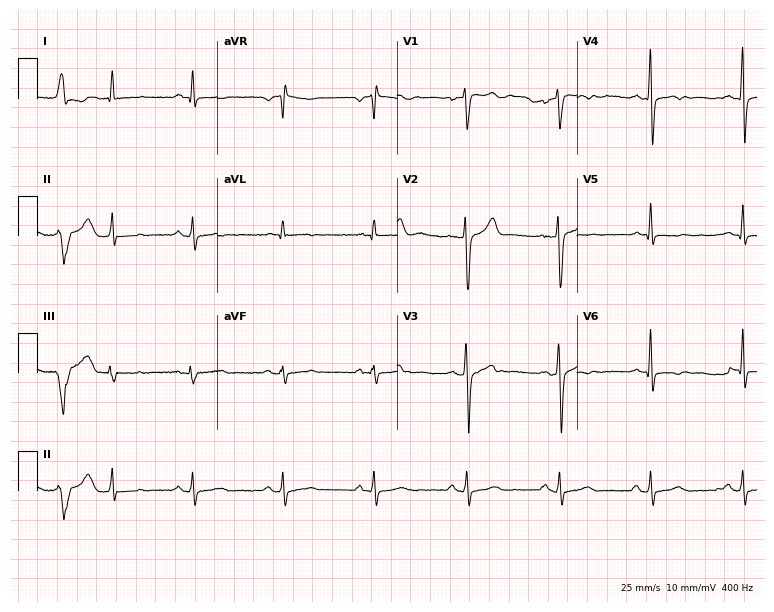
12-lead ECG from a 49-year-old man. Screened for six findings — first-degree AV block, right bundle branch block, left bundle branch block, sinus bradycardia, atrial fibrillation, sinus tachycardia — none is recorded. Other findings, if any, are not listed.